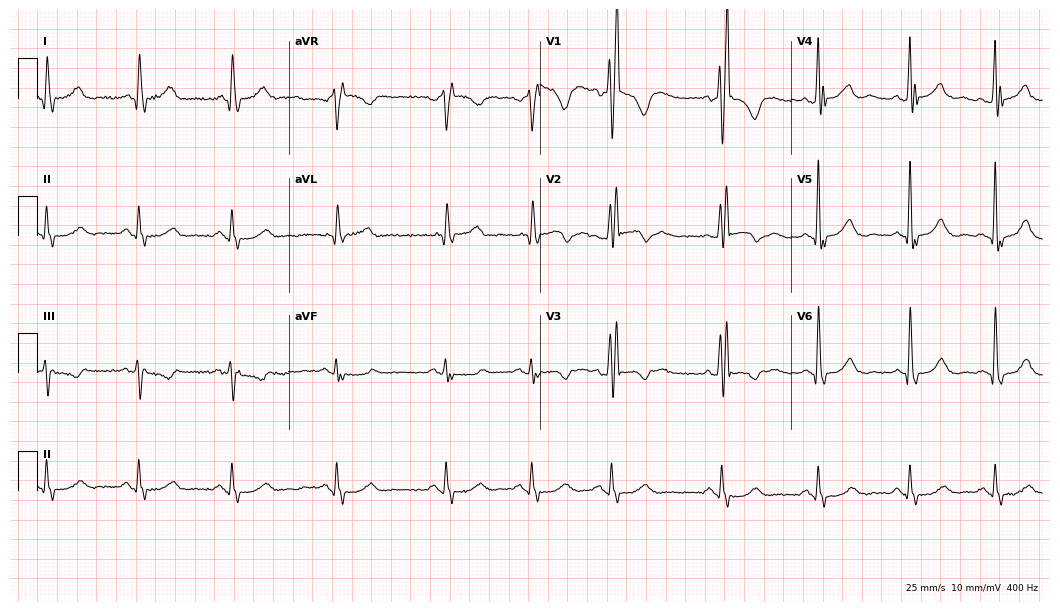
12-lead ECG from a 73-year-old female. Screened for six findings — first-degree AV block, right bundle branch block, left bundle branch block, sinus bradycardia, atrial fibrillation, sinus tachycardia — none is recorded. Only these six findings were labelled.